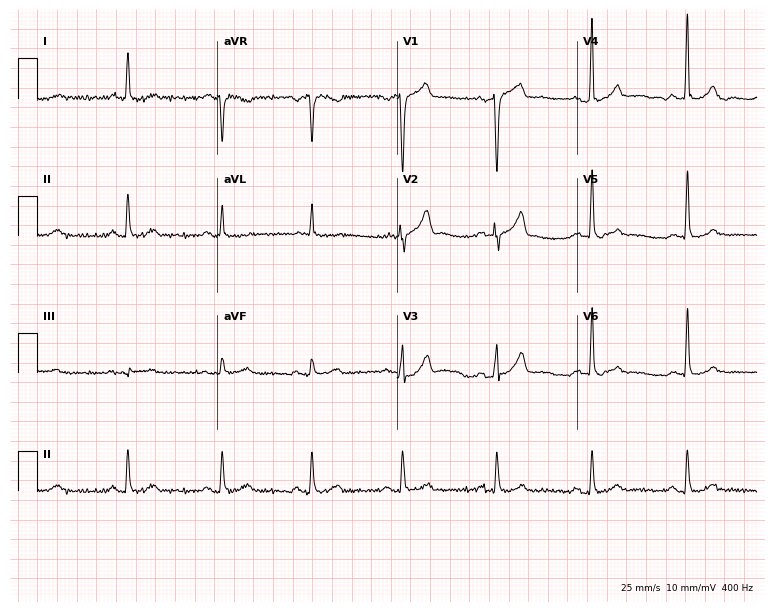
Resting 12-lead electrocardiogram. Patient: a 73-year-old male. Read as a normal ECG.